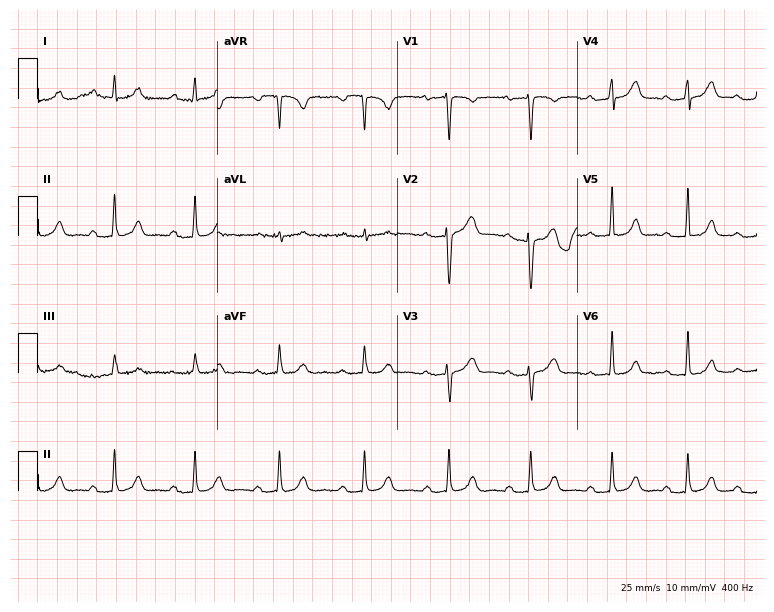
12-lead ECG from a 40-year-old woman. Findings include first-degree AV block.